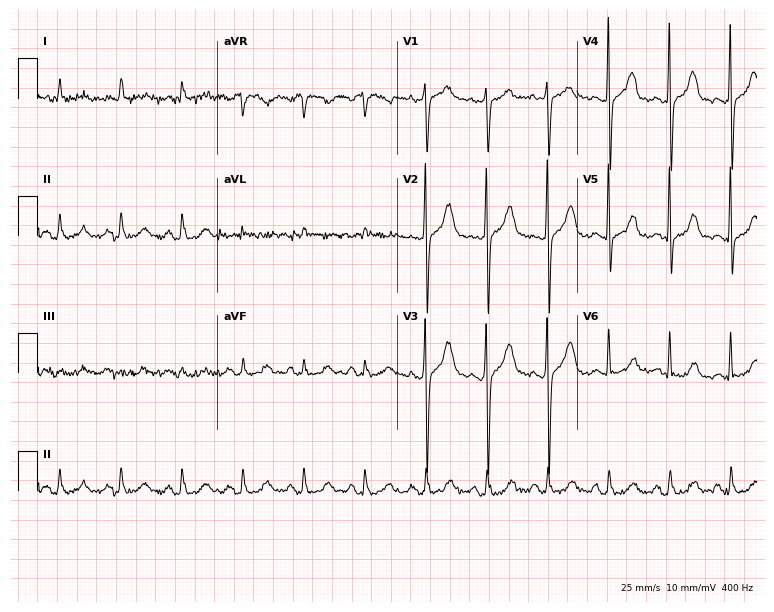
12-lead ECG from an 81-year-old man (7.3-second recording at 400 Hz). No first-degree AV block, right bundle branch block (RBBB), left bundle branch block (LBBB), sinus bradycardia, atrial fibrillation (AF) or sinus tachycardia recorded for this tracing. Only these six findings were labelled.